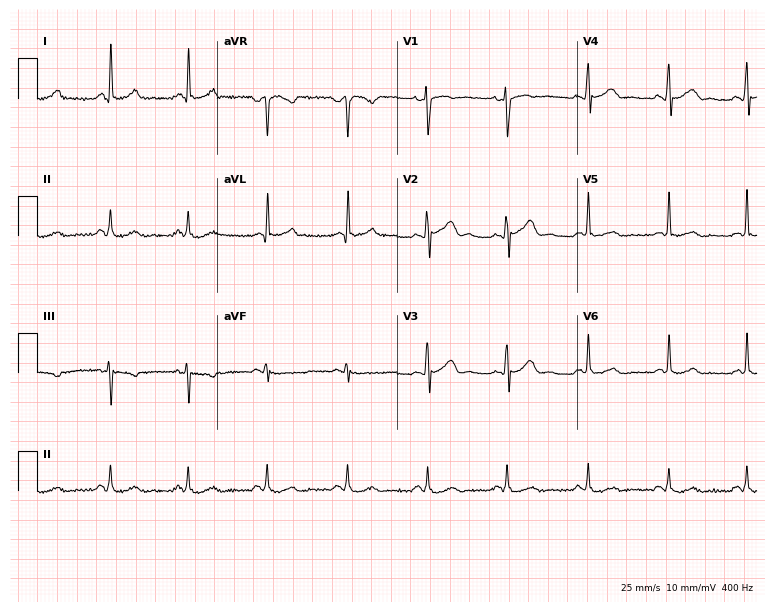
12-lead ECG from a male, 51 years old. No first-degree AV block, right bundle branch block, left bundle branch block, sinus bradycardia, atrial fibrillation or sinus tachycardia recorded for this tracing. Only these six findings were labelled.